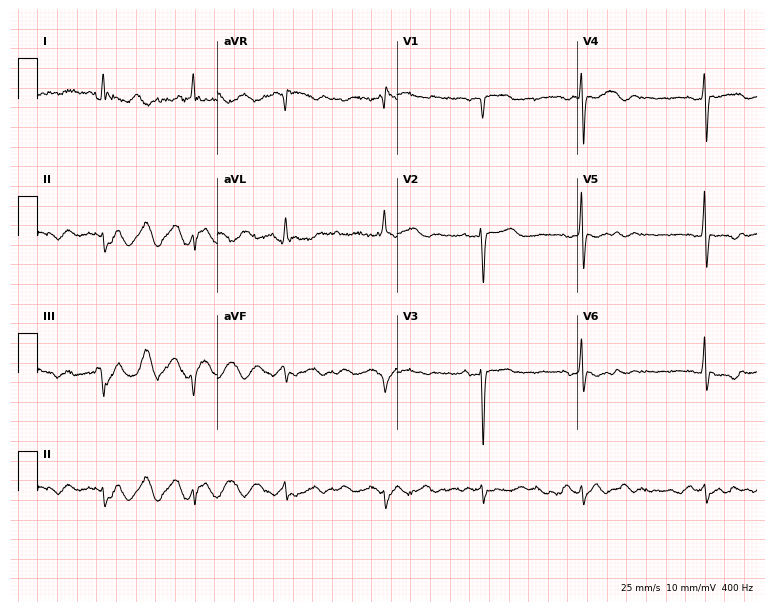
Standard 12-lead ECG recorded from a 78-year-old male patient. None of these six findings is recorded: first-degree AV block, right bundle branch block, left bundle branch block, sinus bradycardia, atrial fibrillation, sinus tachycardia.